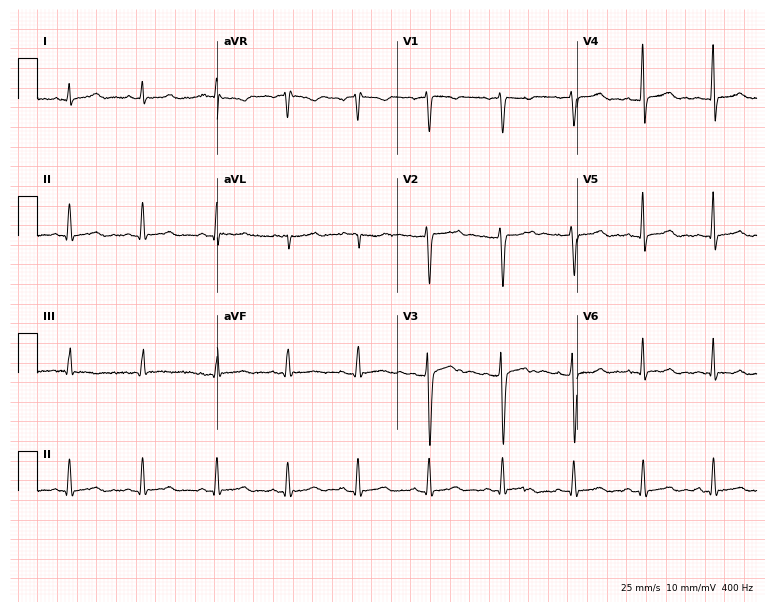
ECG (7.3-second recording at 400 Hz) — a female, 19 years old. Labelled as a normal ECG.